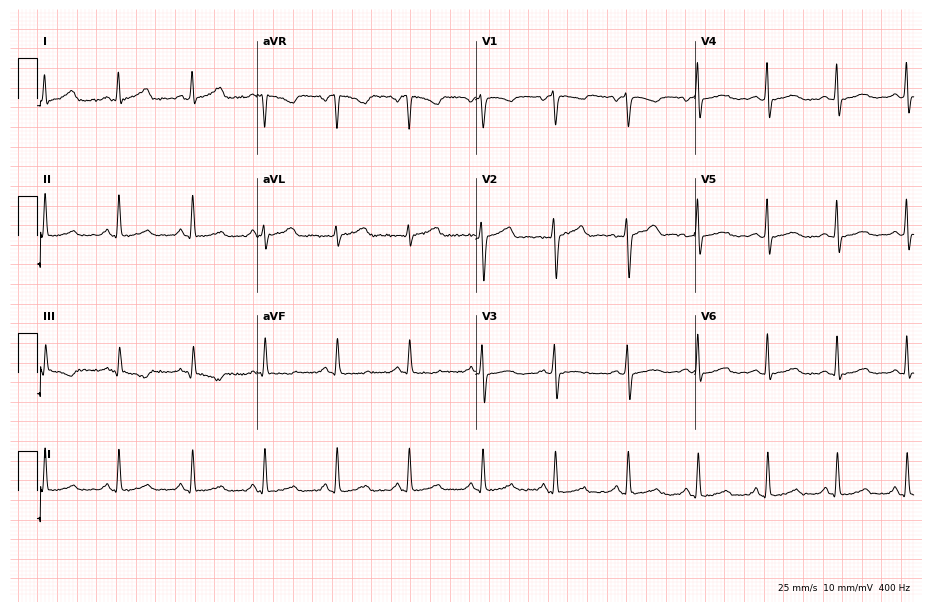
12-lead ECG from a 38-year-old female patient (8.9-second recording at 400 Hz). Recorded interpretation: within normal limits.